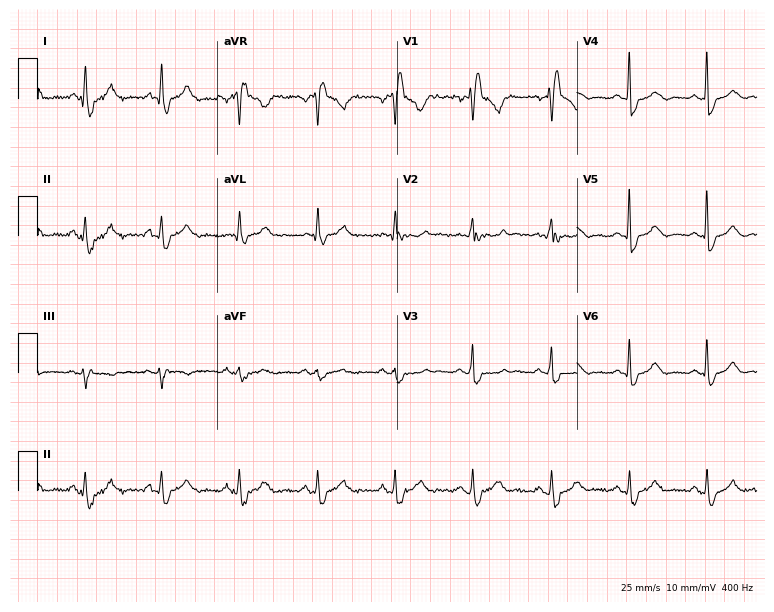
Standard 12-lead ECG recorded from a woman, 45 years old (7.3-second recording at 400 Hz). The tracing shows right bundle branch block.